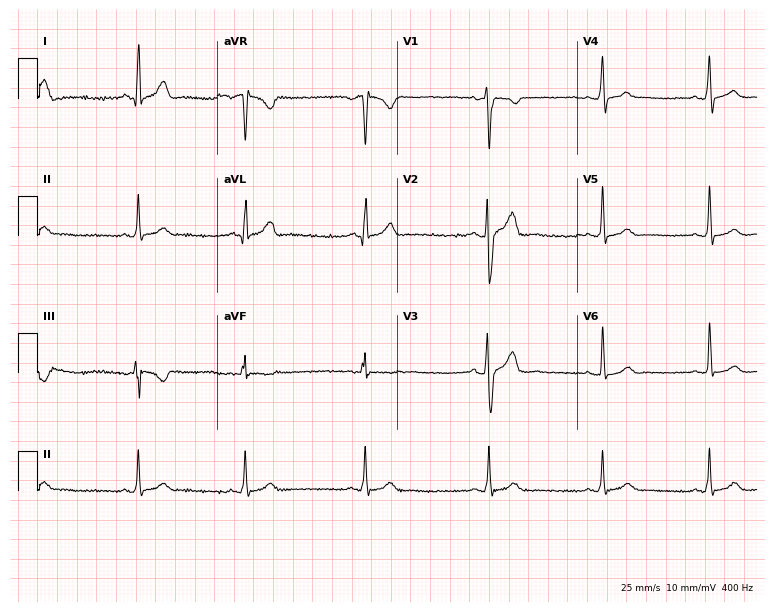
Resting 12-lead electrocardiogram. Patient: a male, 28 years old. None of these six findings is recorded: first-degree AV block, right bundle branch block, left bundle branch block, sinus bradycardia, atrial fibrillation, sinus tachycardia. Other findings, if any, are not listed.